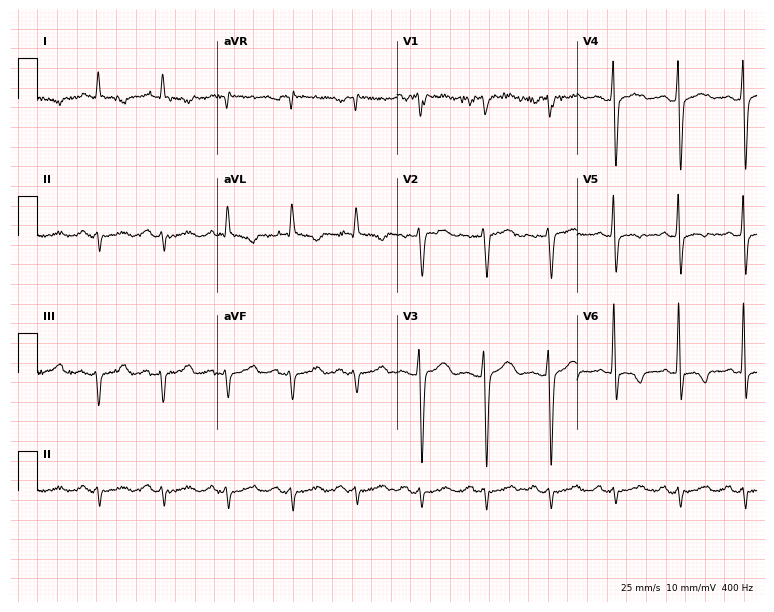
12-lead ECG from a 75-year-old man (7.3-second recording at 400 Hz). No first-degree AV block, right bundle branch block, left bundle branch block, sinus bradycardia, atrial fibrillation or sinus tachycardia recorded for this tracing.